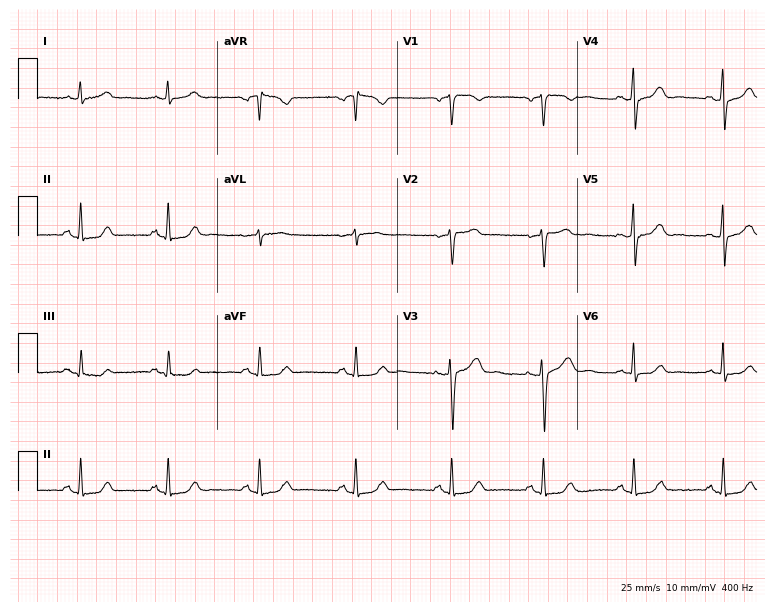
Electrocardiogram (7.3-second recording at 400 Hz), a 55-year-old female patient. Overall reading on record: normal ECG.